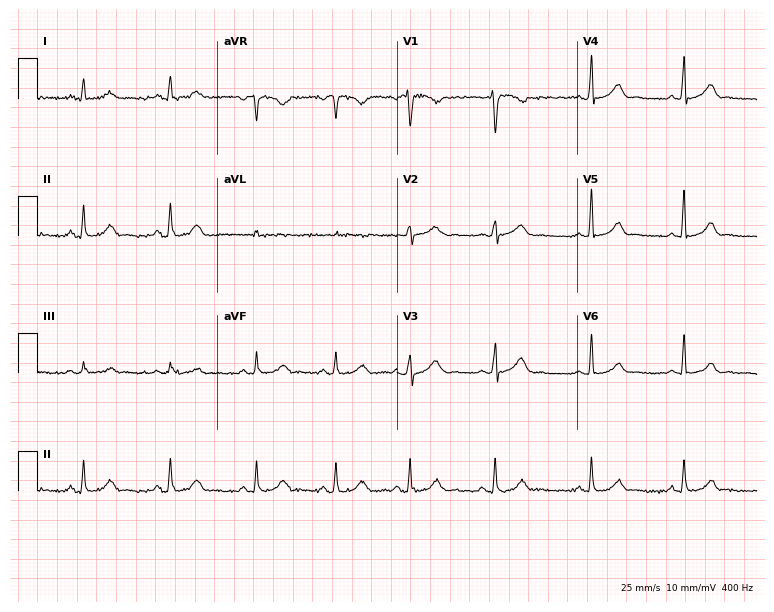
ECG — a 35-year-old female. Labelled as a normal ECG.